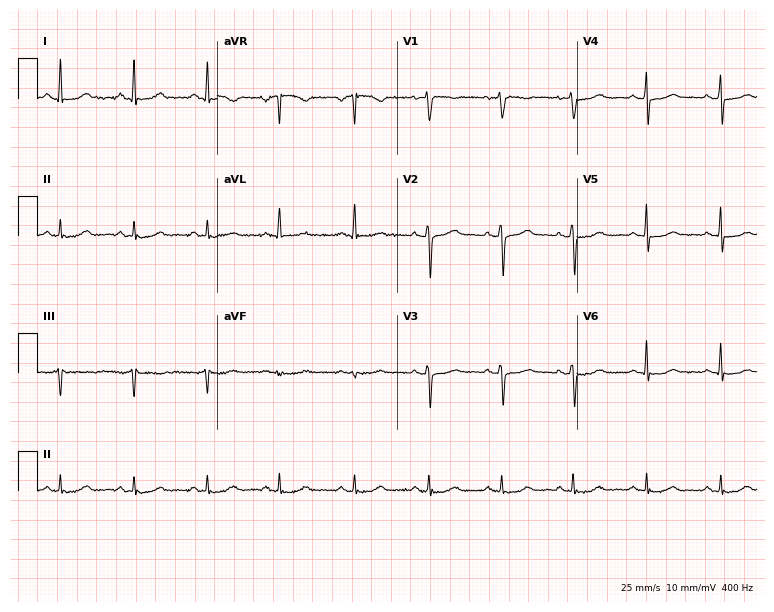
12-lead ECG from a female, 34 years old. No first-degree AV block, right bundle branch block, left bundle branch block, sinus bradycardia, atrial fibrillation or sinus tachycardia recorded for this tracing. Only these six findings were labelled.